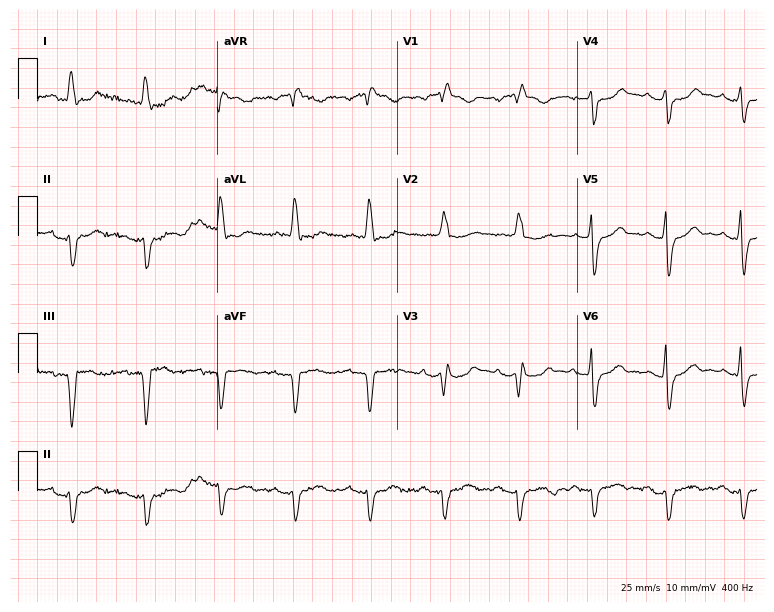
Resting 12-lead electrocardiogram. Patient: a male, 81 years old. The tracing shows right bundle branch block.